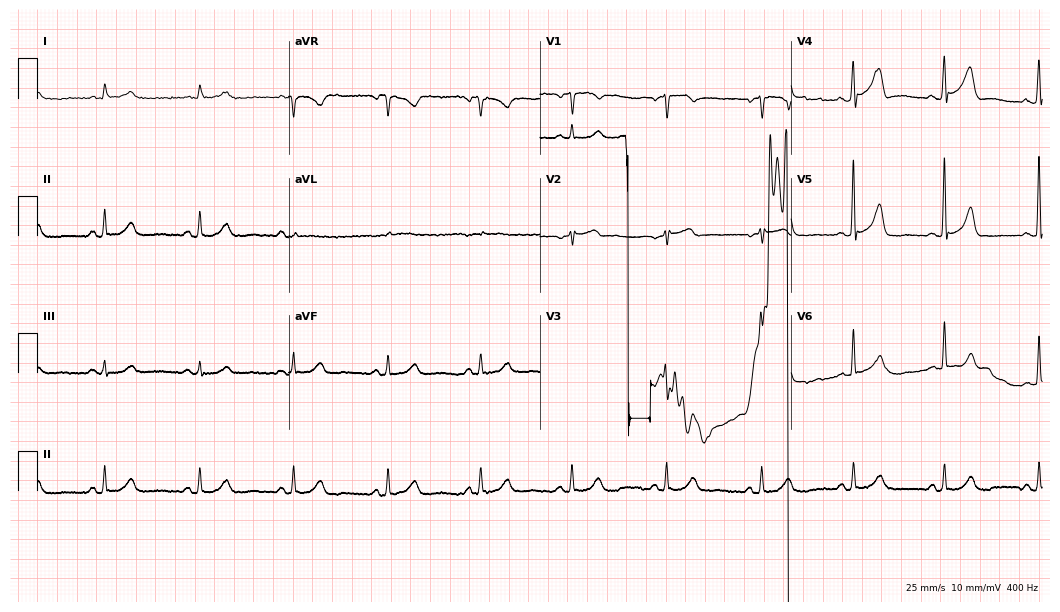
Standard 12-lead ECG recorded from a 62-year-old woman. None of these six findings is recorded: first-degree AV block, right bundle branch block (RBBB), left bundle branch block (LBBB), sinus bradycardia, atrial fibrillation (AF), sinus tachycardia.